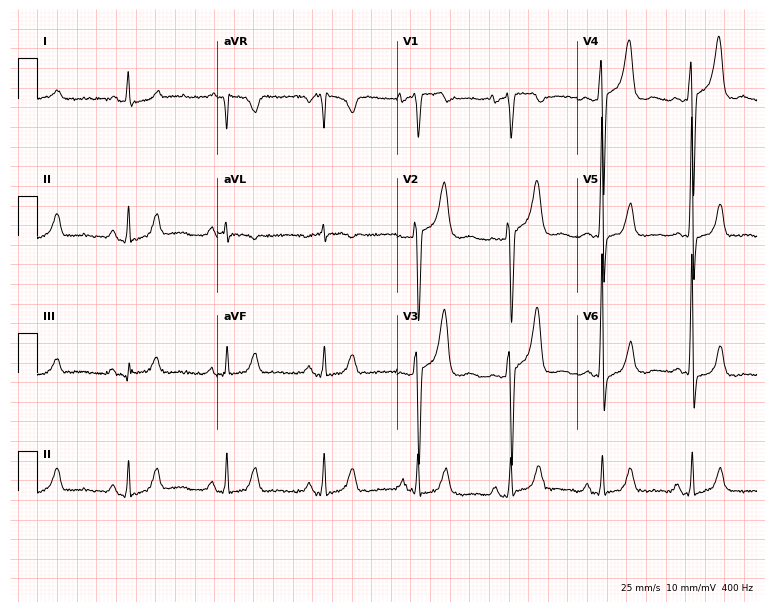
Resting 12-lead electrocardiogram. Patient: a male, 71 years old. None of these six findings is recorded: first-degree AV block, right bundle branch block, left bundle branch block, sinus bradycardia, atrial fibrillation, sinus tachycardia.